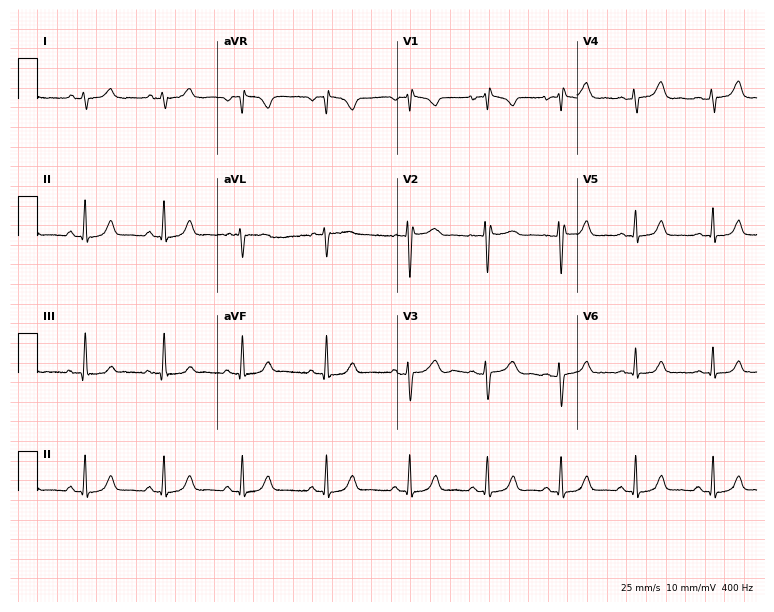
12-lead ECG (7.3-second recording at 400 Hz) from a 32-year-old female. Screened for six findings — first-degree AV block, right bundle branch block, left bundle branch block, sinus bradycardia, atrial fibrillation, sinus tachycardia — none is recorded.